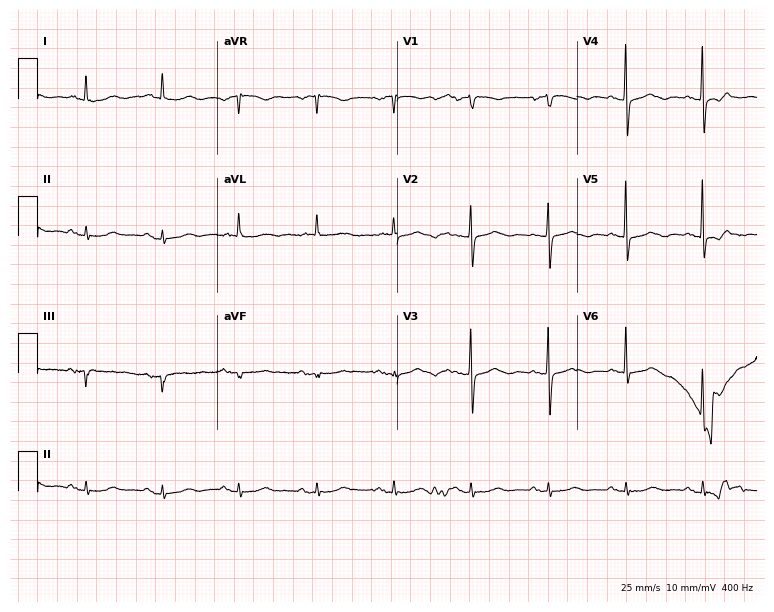
12-lead ECG from a female, 84 years old (7.3-second recording at 400 Hz). No first-degree AV block, right bundle branch block, left bundle branch block, sinus bradycardia, atrial fibrillation or sinus tachycardia recorded for this tracing.